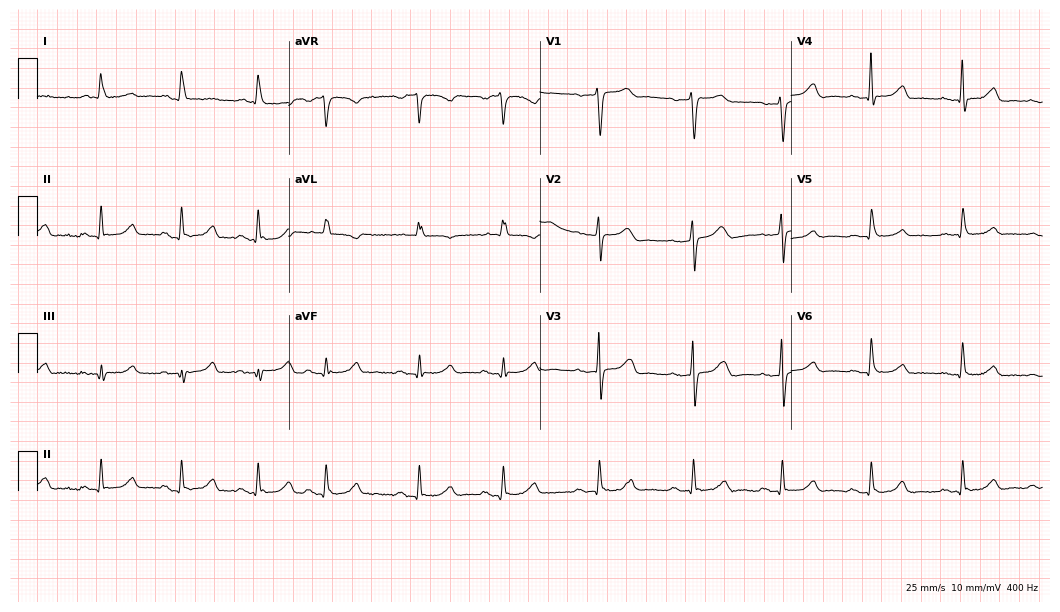
Resting 12-lead electrocardiogram (10.2-second recording at 400 Hz). Patient: a female, 47 years old. None of these six findings is recorded: first-degree AV block, right bundle branch block, left bundle branch block, sinus bradycardia, atrial fibrillation, sinus tachycardia.